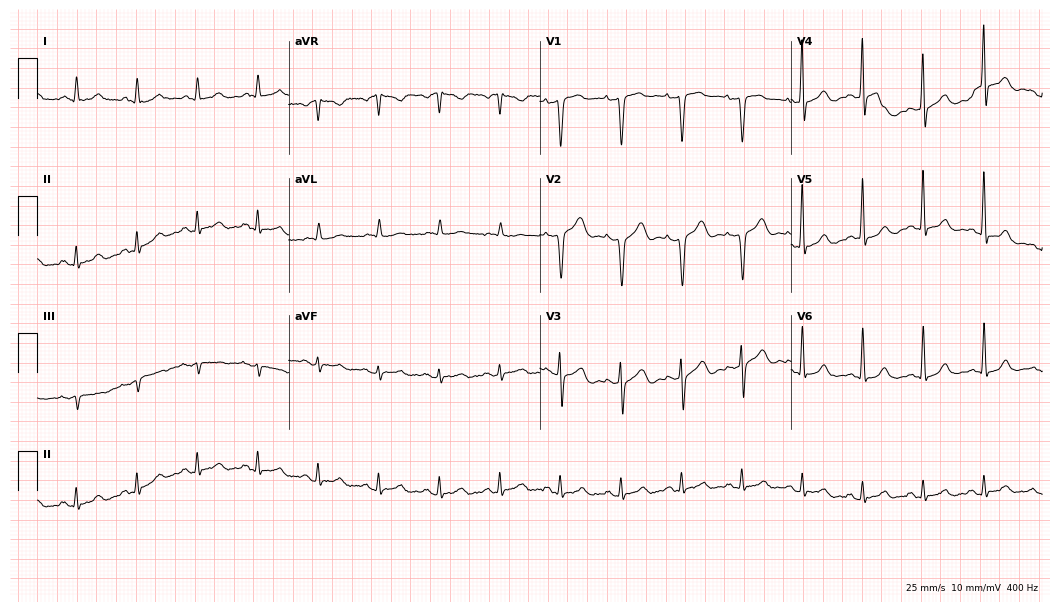
Electrocardiogram (10.2-second recording at 400 Hz), a male, 67 years old. Of the six screened findings (first-degree AV block, right bundle branch block, left bundle branch block, sinus bradycardia, atrial fibrillation, sinus tachycardia), none is recorded.